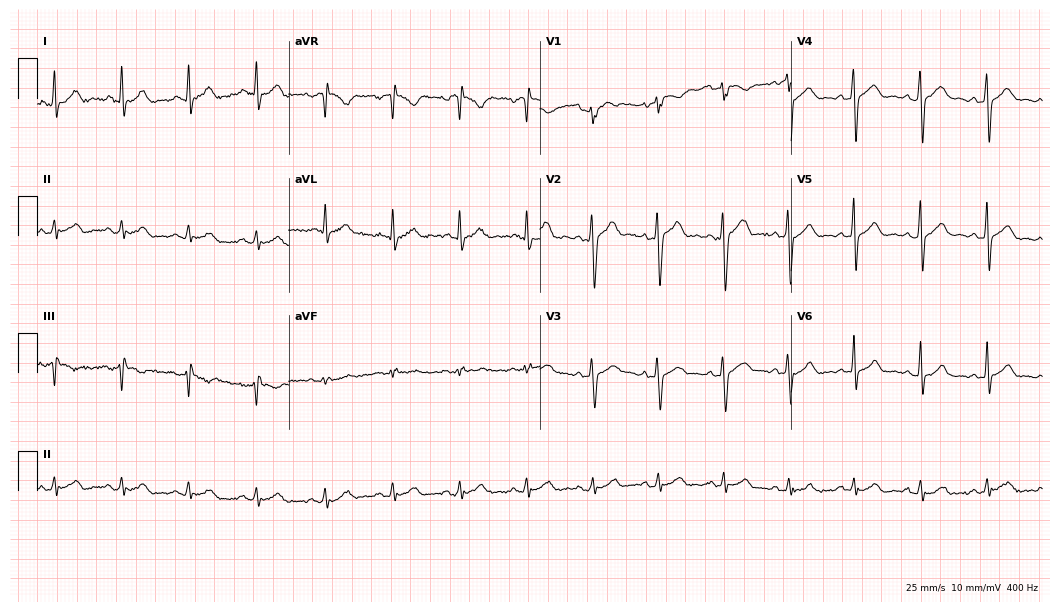
12-lead ECG from a male patient, 40 years old. Recorded interpretation: within normal limits.